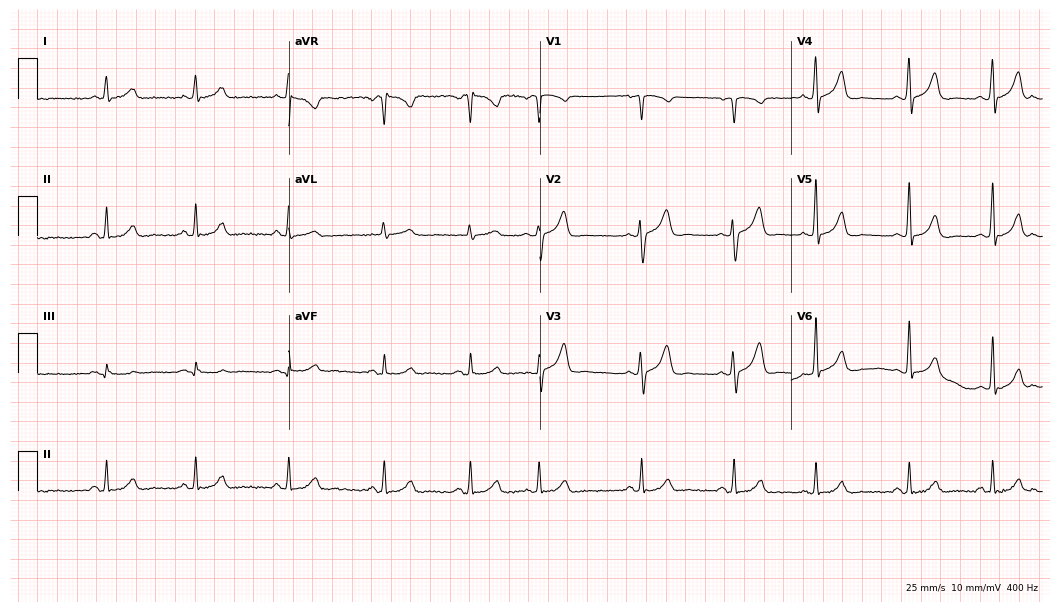
Standard 12-lead ECG recorded from a female, 38 years old. Read as a normal ECG.